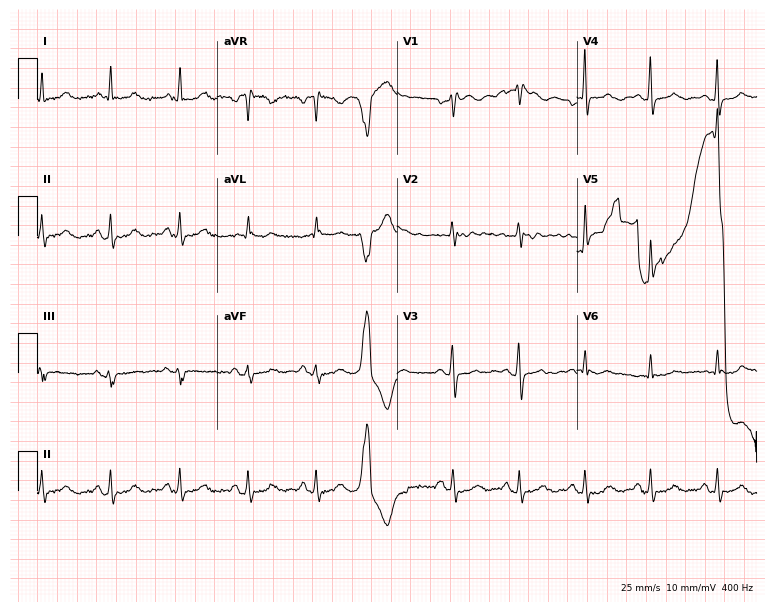
Resting 12-lead electrocardiogram. Patient: a female, 68 years old. None of these six findings is recorded: first-degree AV block, right bundle branch block, left bundle branch block, sinus bradycardia, atrial fibrillation, sinus tachycardia.